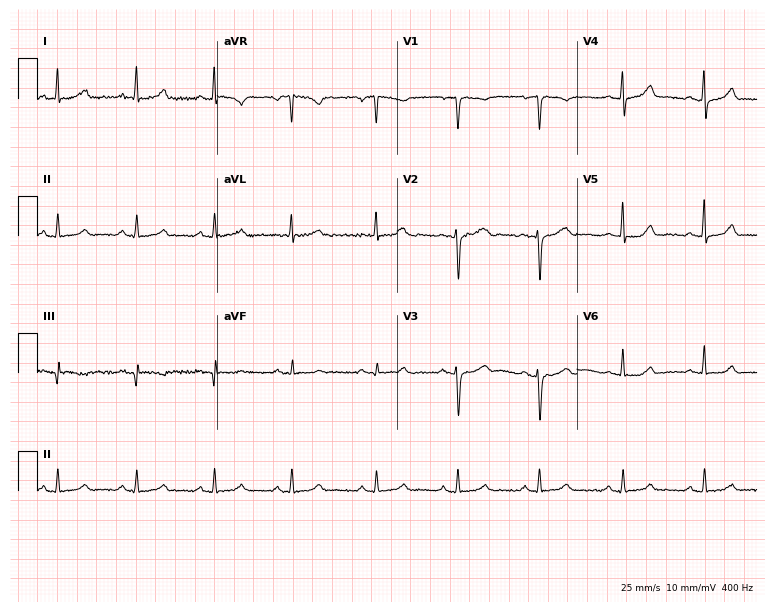
Resting 12-lead electrocardiogram (7.3-second recording at 400 Hz). Patient: a woman, 44 years old. Read as a normal ECG.